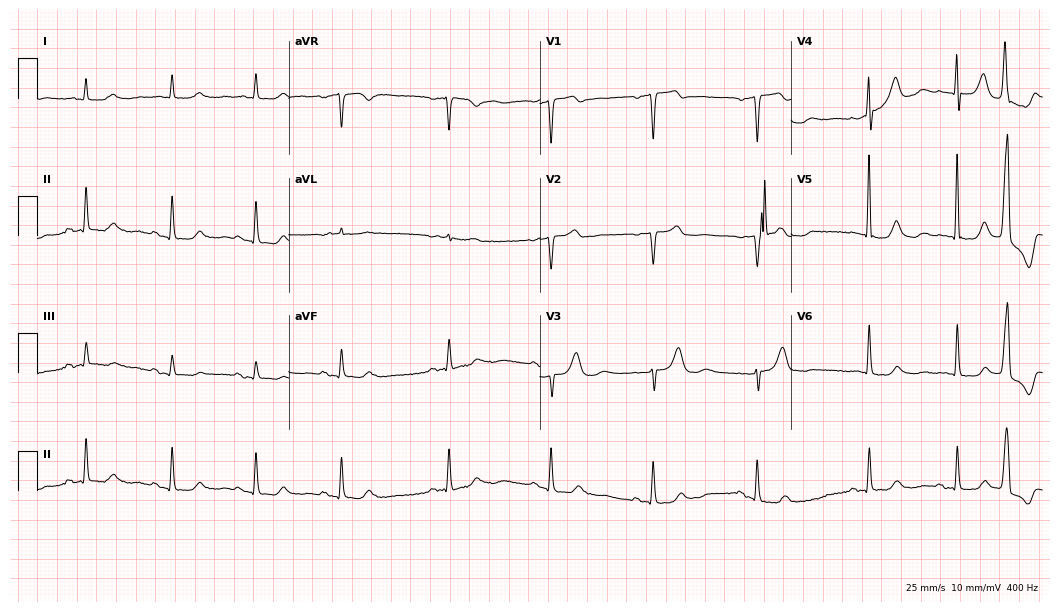
12-lead ECG from an 81-year-old woman. Screened for six findings — first-degree AV block, right bundle branch block, left bundle branch block, sinus bradycardia, atrial fibrillation, sinus tachycardia — none is recorded. Other findings, if any, are not listed.